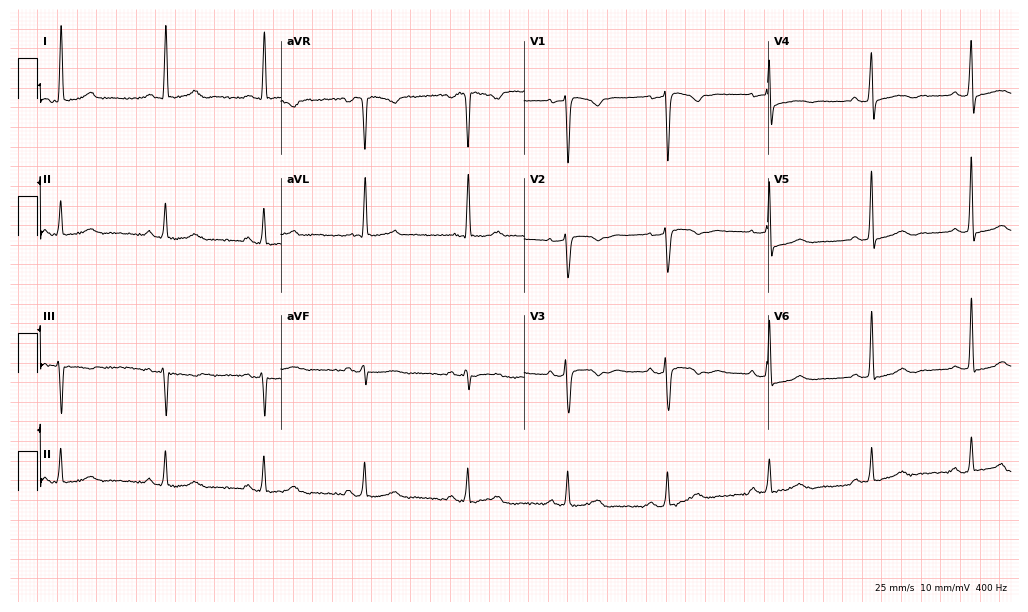
12-lead ECG from a 56-year-old woman (9.9-second recording at 400 Hz). Recorded interpretation: within normal limits.